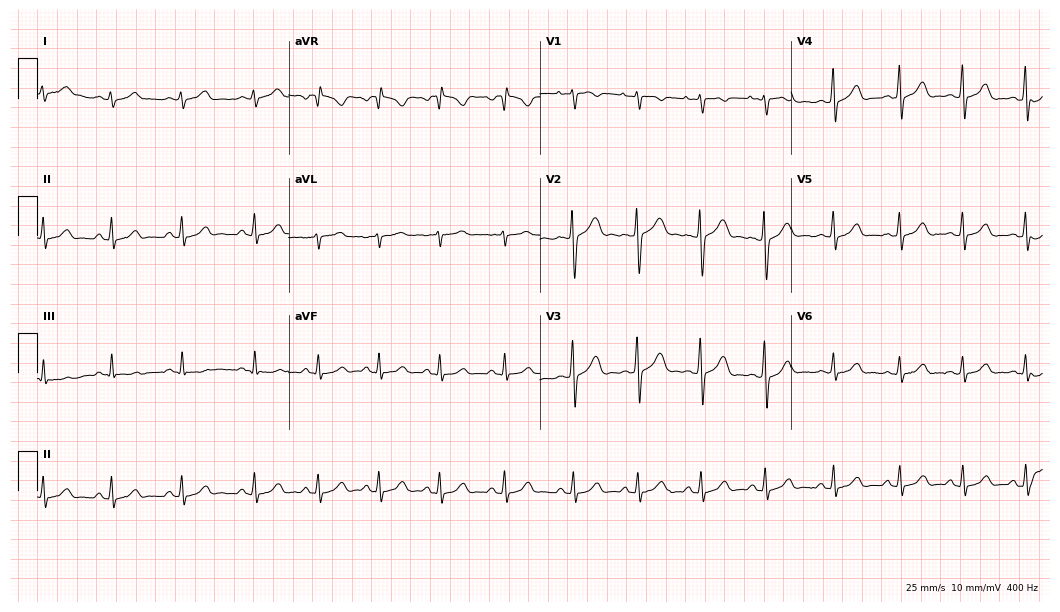
12-lead ECG from a female, 19 years old. Labelled as a normal ECG.